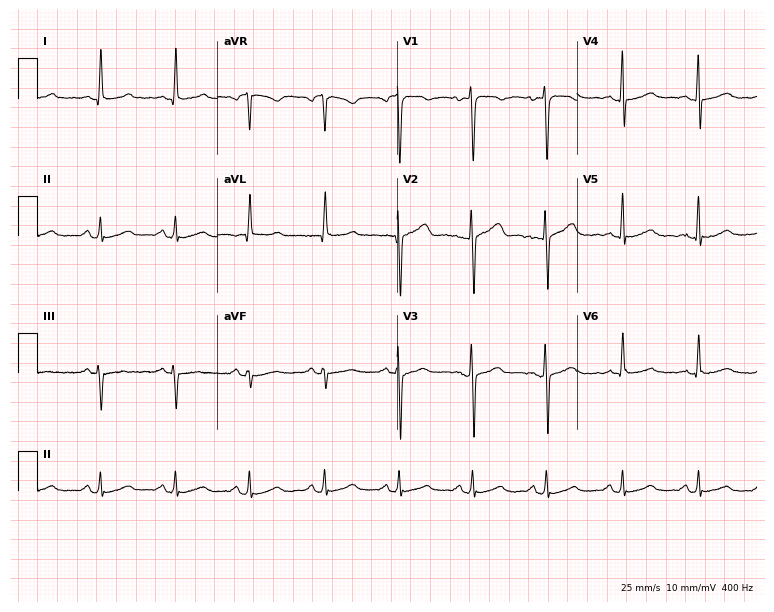
Resting 12-lead electrocardiogram. Patient: a 37-year-old female. Read as a normal ECG.